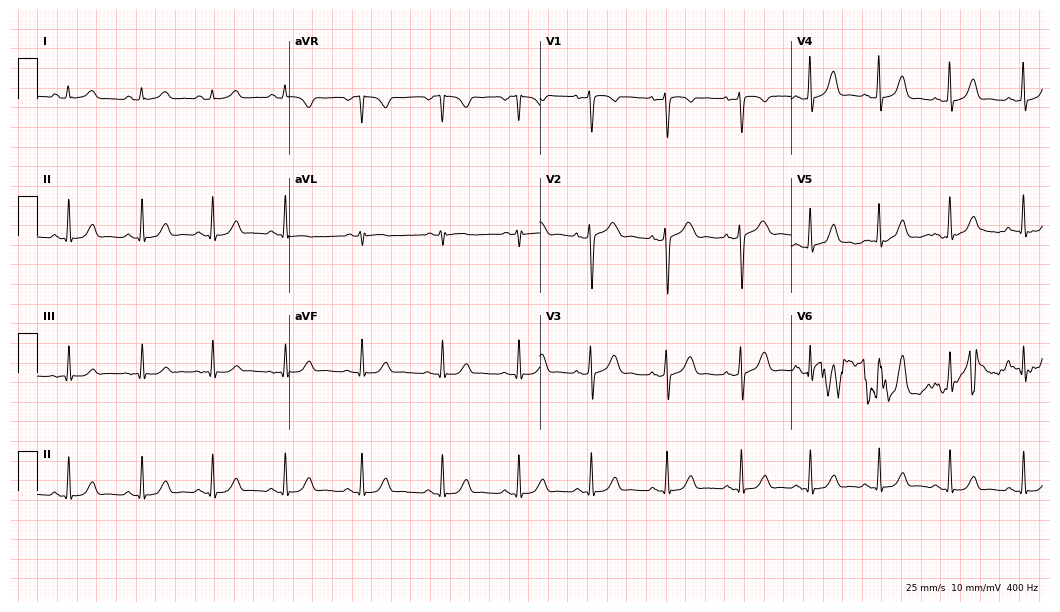
ECG (10.2-second recording at 400 Hz) — a woman, 27 years old. Labelled as a normal ECG.